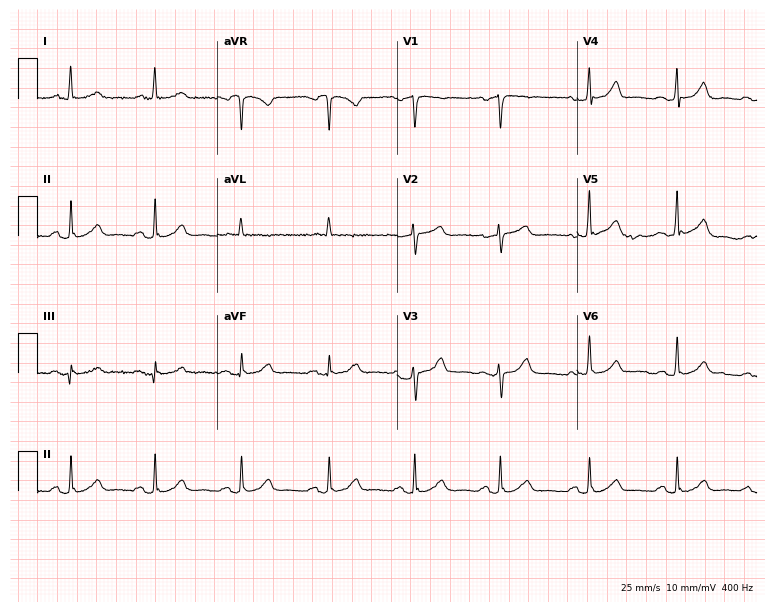
Resting 12-lead electrocardiogram (7.3-second recording at 400 Hz). Patient: a 79-year-old woman. Read as a normal ECG.